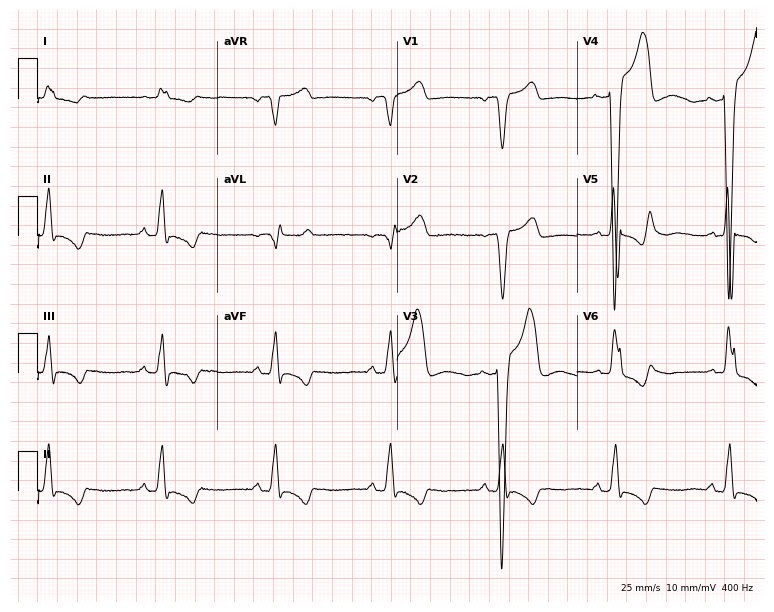
12-lead ECG from an 81-year-old male patient. Findings include left bundle branch block (LBBB).